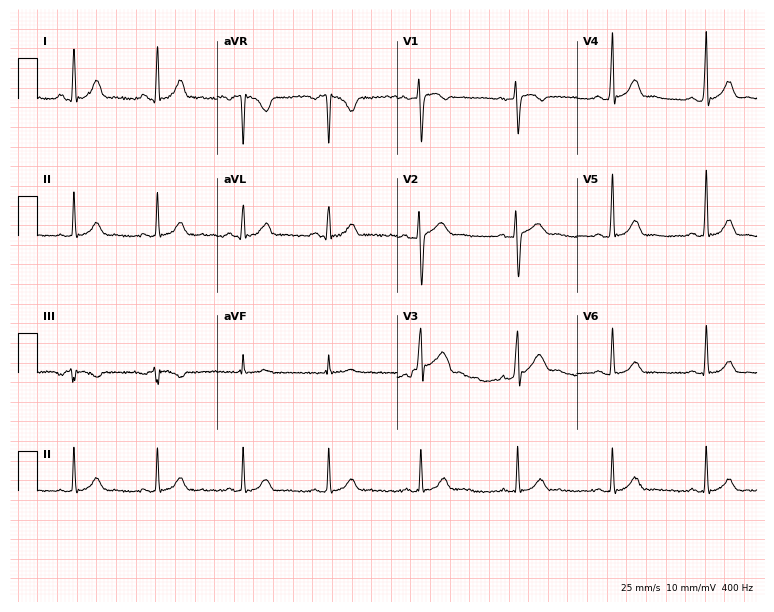
Standard 12-lead ECG recorded from a 34-year-old man. None of these six findings is recorded: first-degree AV block, right bundle branch block, left bundle branch block, sinus bradycardia, atrial fibrillation, sinus tachycardia.